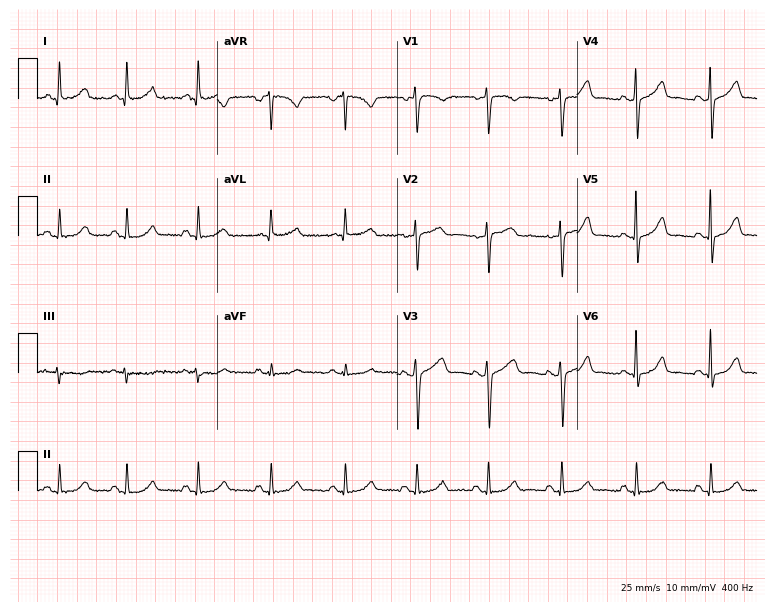
ECG (7.3-second recording at 400 Hz) — a 41-year-old woman. Screened for six findings — first-degree AV block, right bundle branch block, left bundle branch block, sinus bradycardia, atrial fibrillation, sinus tachycardia — none is recorded.